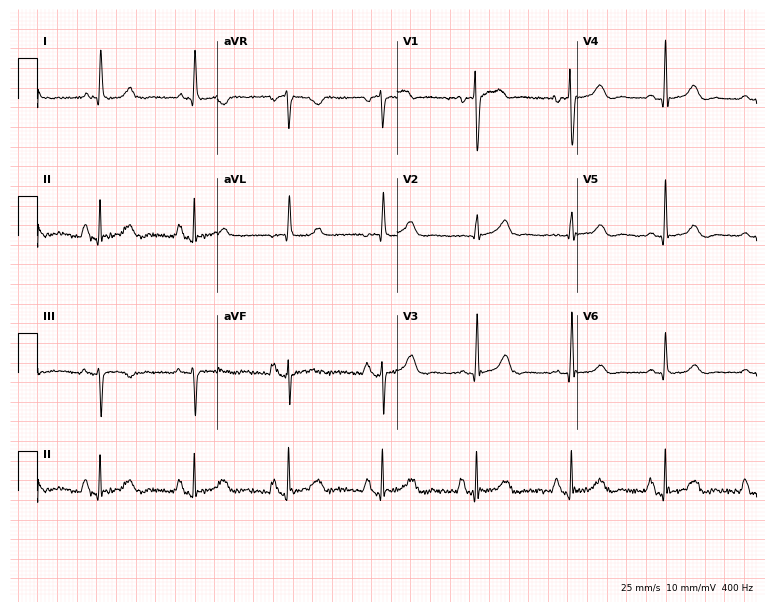
12-lead ECG (7.3-second recording at 400 Hz) from an 85-year-old female. Screened for six findings — first-degree AV block, right bundle branch block, left bundle branch block, sinus bradycardia, atrial fibrillation, sinus tachycardia — none is recorded.